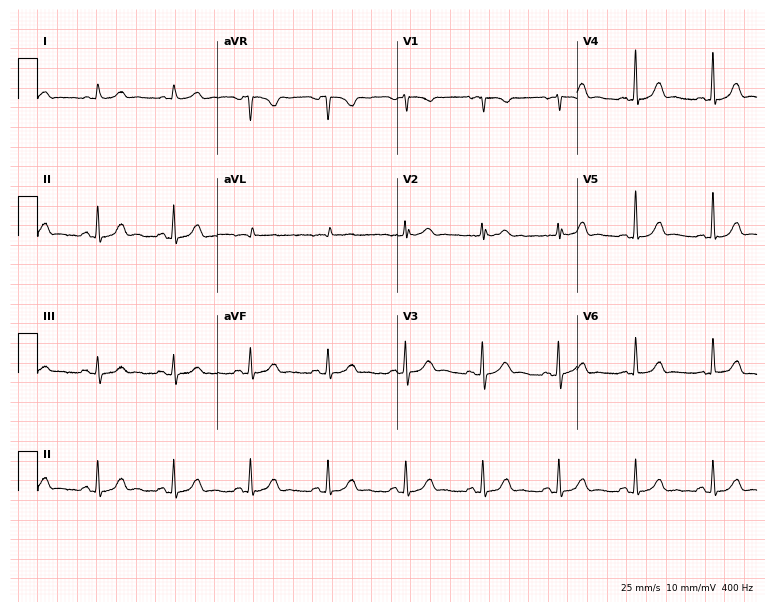
Standard 12-lead ECG recorded from a woman, 53 years old (7.3-second recording at 400 Hz). Read as a normal ECG.